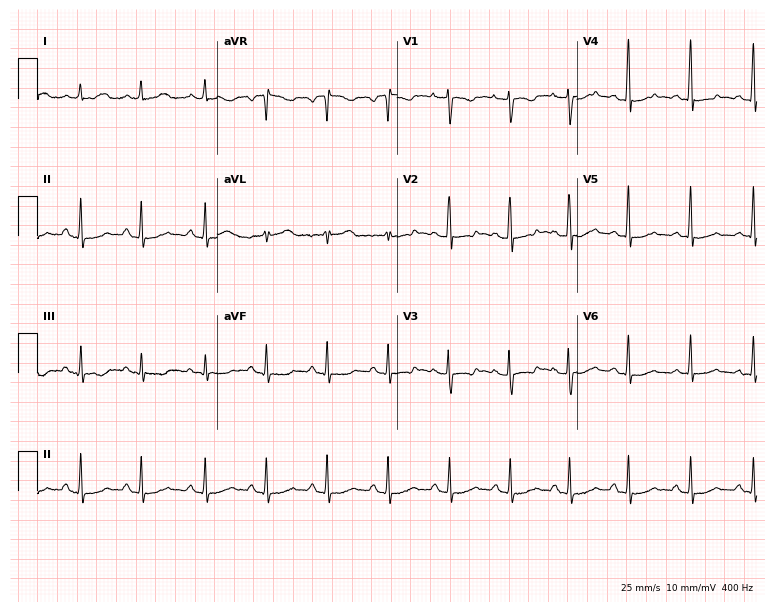
Resting 12-lead electrocardiogram. Patient: a 36-year-old female. Read as a normal ECG.